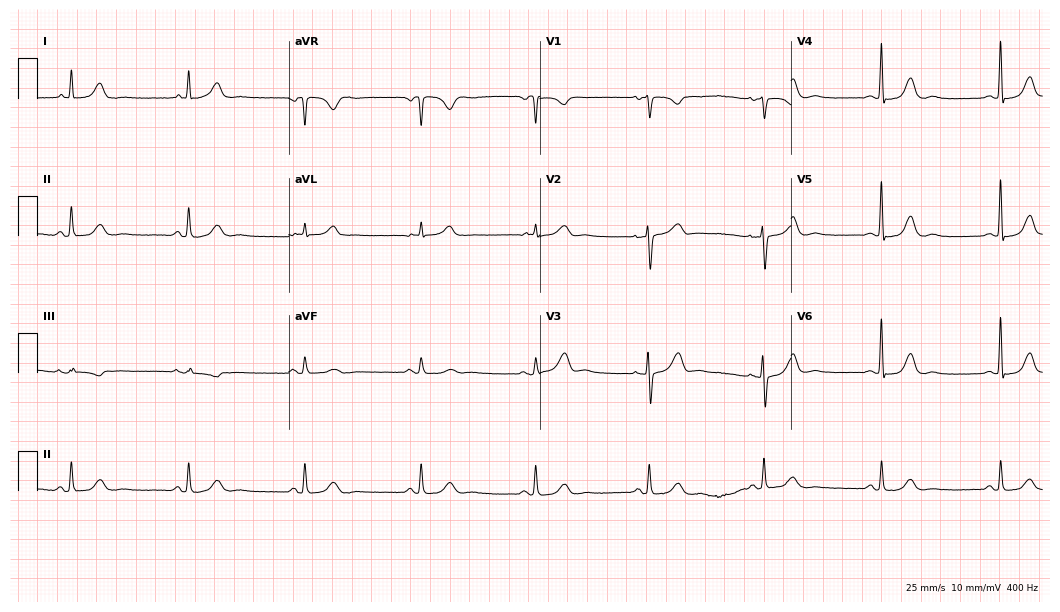
Standard 12-lead ECG recorded from a female patient, 59 years old (10.2-second recording at 400 Hz). Read as a normal ECG.